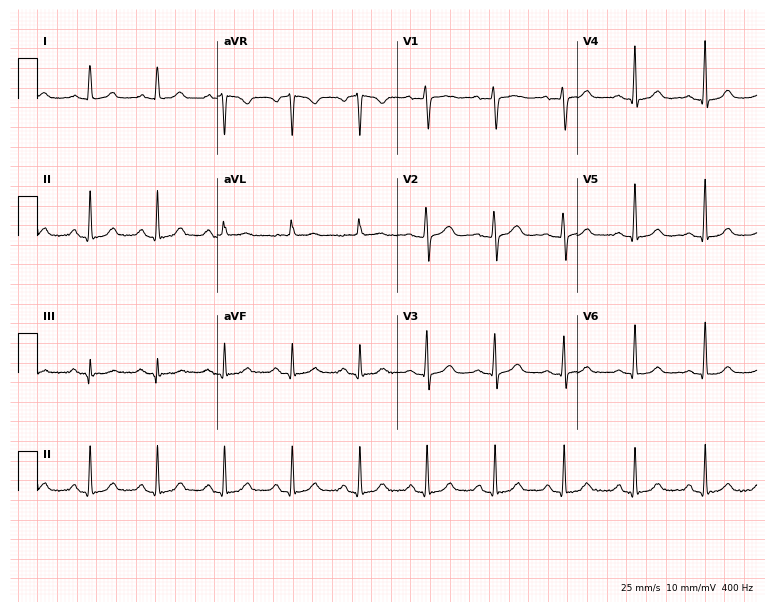
ECG — a female patient, 57 years old. Labelled as a normal ECG.